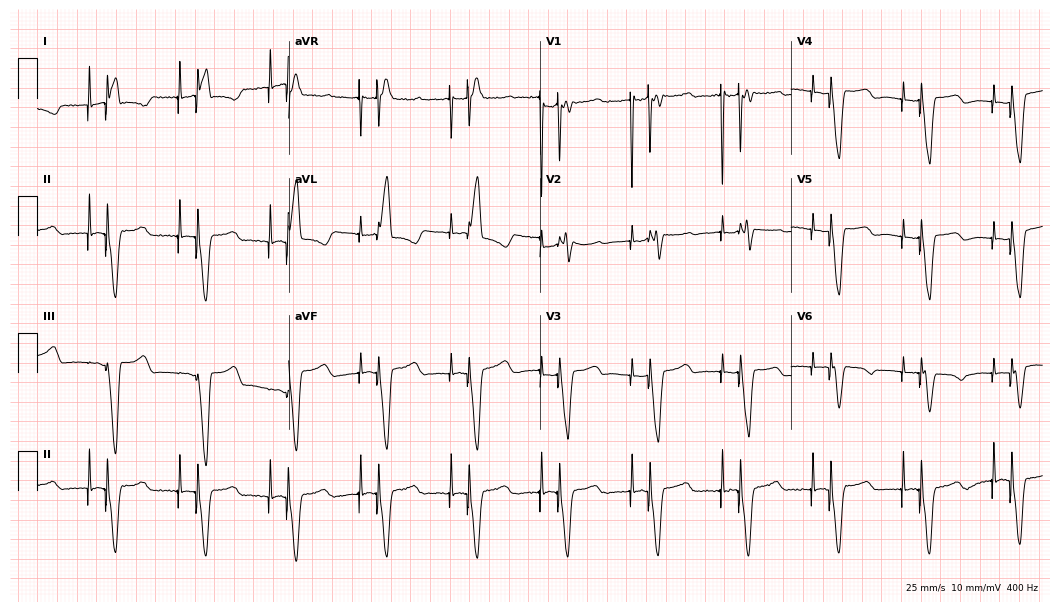
12-lead ECG from an 81-year-old female patient. No first-degree AV block, right bundle branch block, left bundle branch block, sinus bradycardia, atrial fibrillation or sinus tachycardia recorded for this tracing. Other findings, if any, are not listed.